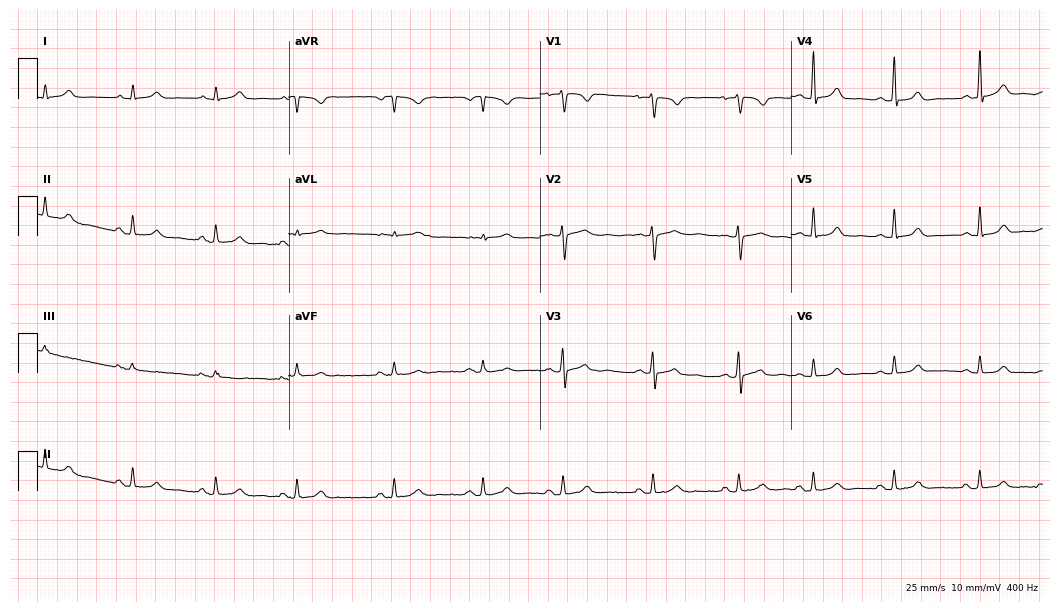
Resting 12-lead electrocardiogram (10.2-second recording at 400 Hz). Patient: a female, 21 years old. Read as a normal ECG.